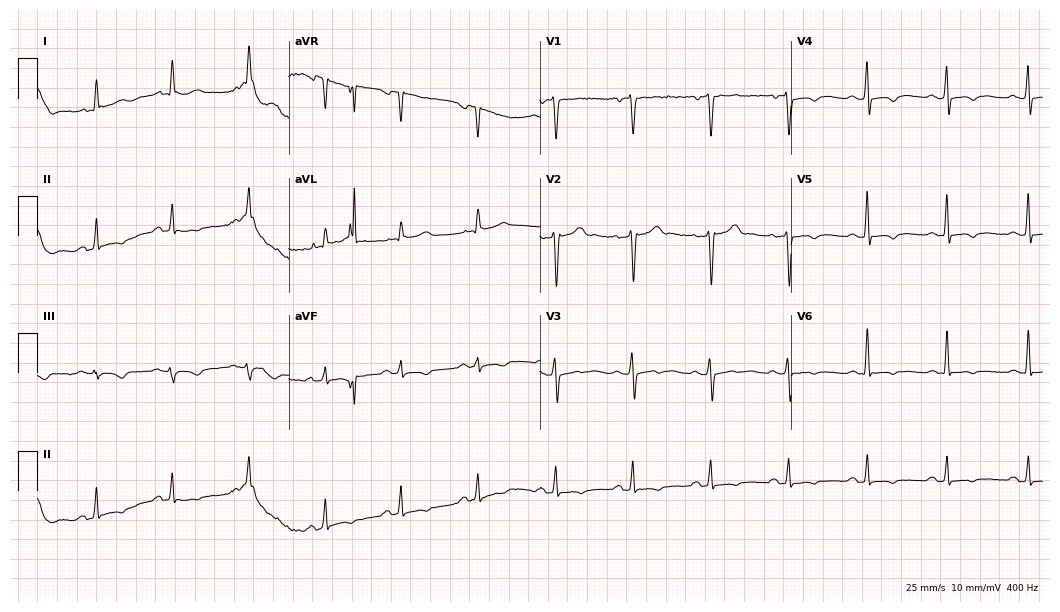
Standard 12-lead ECG recorded from a 49-year-old man (10.2-second recording at 400 Hz). None of these six findings is recorded: first-degree AV block, right bundle branch block, left bundle branch block, sinus bradycardia, atrial fibrillation, sinus tachycardia.